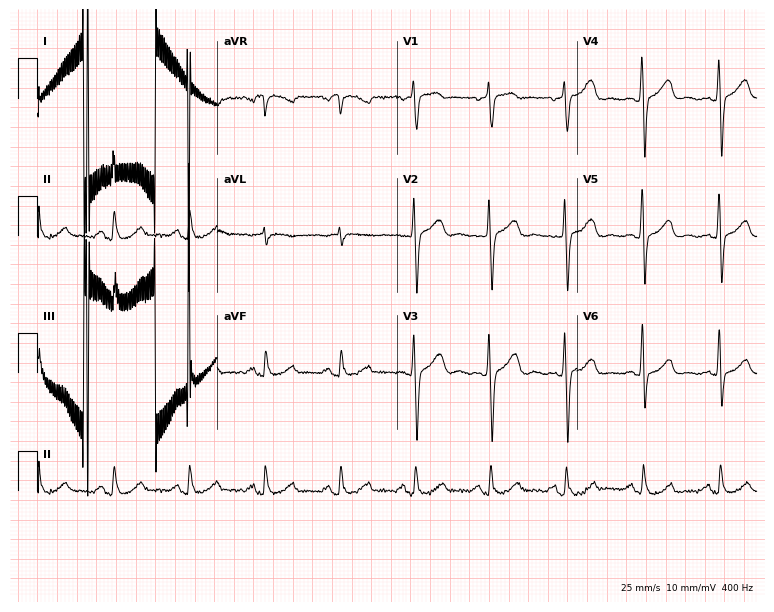
Standard 12-lead ECG recorded from a male, 52 years old (7.3-second recording at 400 Hz). None of these six findings is recorded: first-degree AV block, right bundle branch block, left bundle branch block, sinus bradycardia, atrial fibrillation, sinus tachycardia.